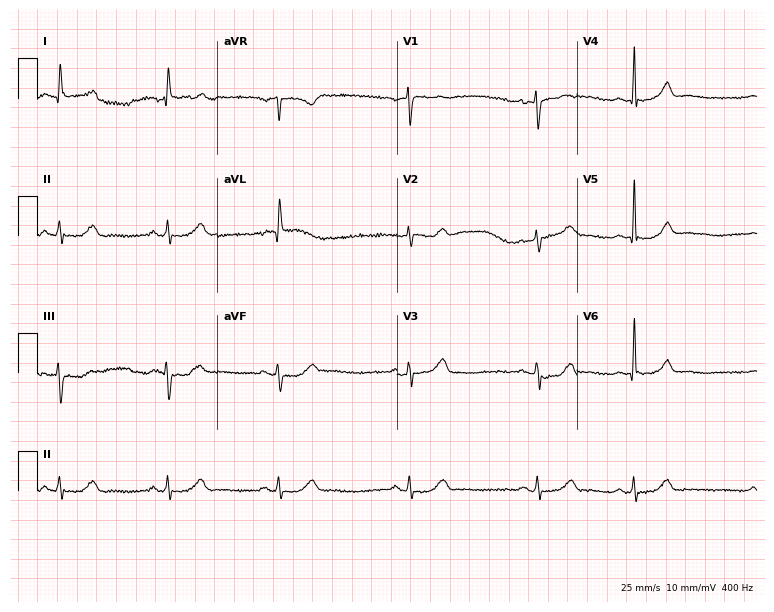
ECG (7.3-second recording at 400 Hz) — a 48-year-old woman. Screened for six findings — first-degree AV block, right bundle branch block, left bundle branch block, sinus bradycardia, atrial fibrillation, sinus tachycardia — none is recorded.